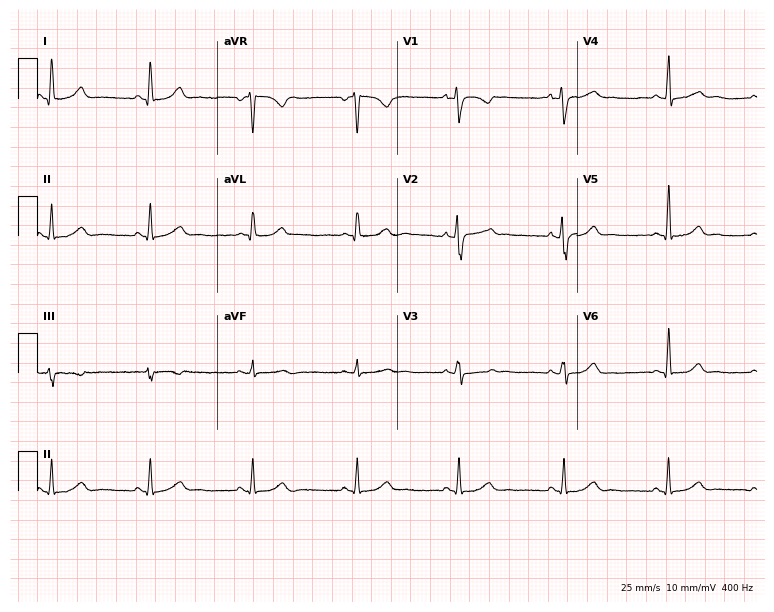
12-lead ECG from a 42-year-old female. Recorded interpretation: within normal limits.